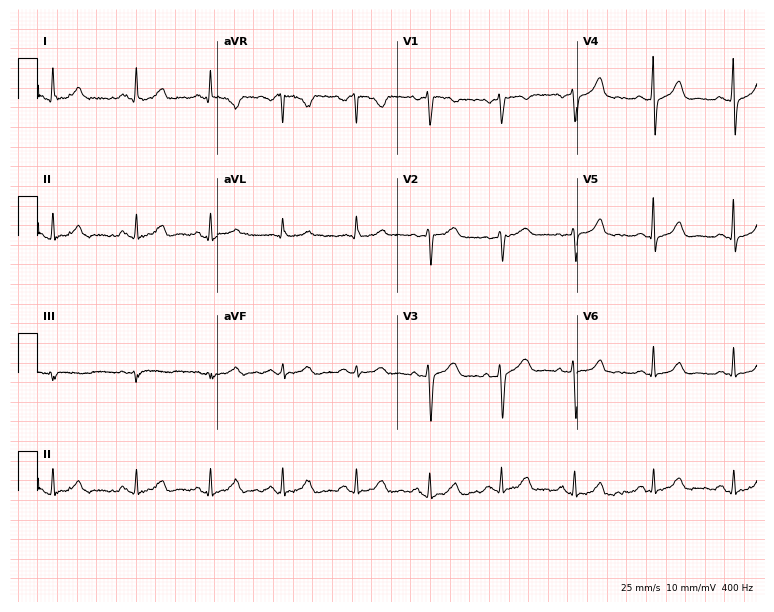
Resting 12-lead electrocardiogram (7.3-second recording at 400 Hz). Patient: a female, 38 years old. Read as a normal ECG.